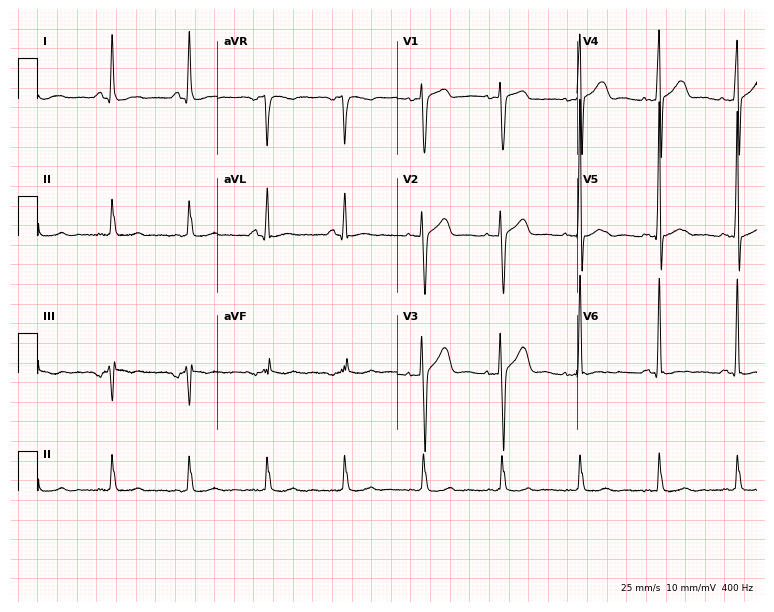
Electrocardiogram, a 48-year-old male patient. Of the six screened findings (first-degree AV block, right bundle branch block, left bundle branch block, sinus bradycardia, atrial fibrillation, sinus tachycardia), none is recorded. Only these six findings were labelled.